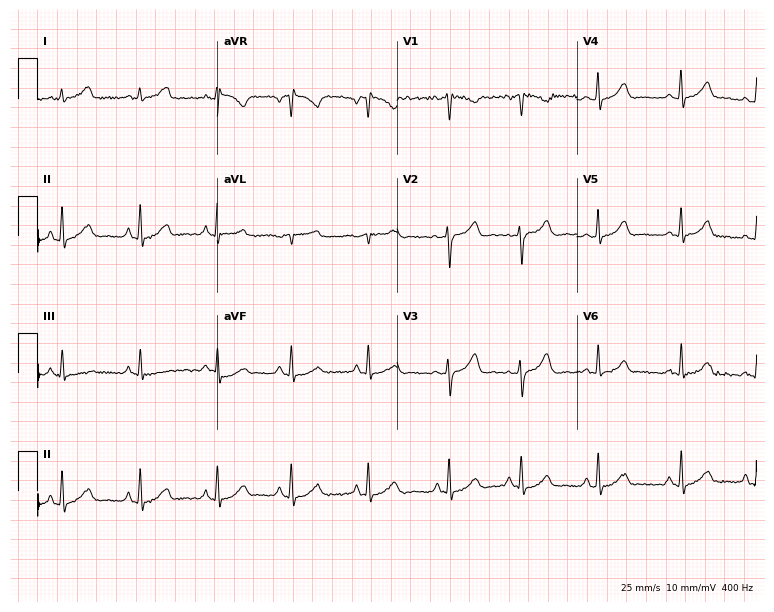
Resting 12-lead electrocardiogram (7.3-second recording at 400 Hz). Patient: a 32-year-old female. None of these six findings is recorded: first-degree AV block, right bundle branch block, left bundle branch block, sinus bradycardia, atrial fibrillation, sinus tachycardia.